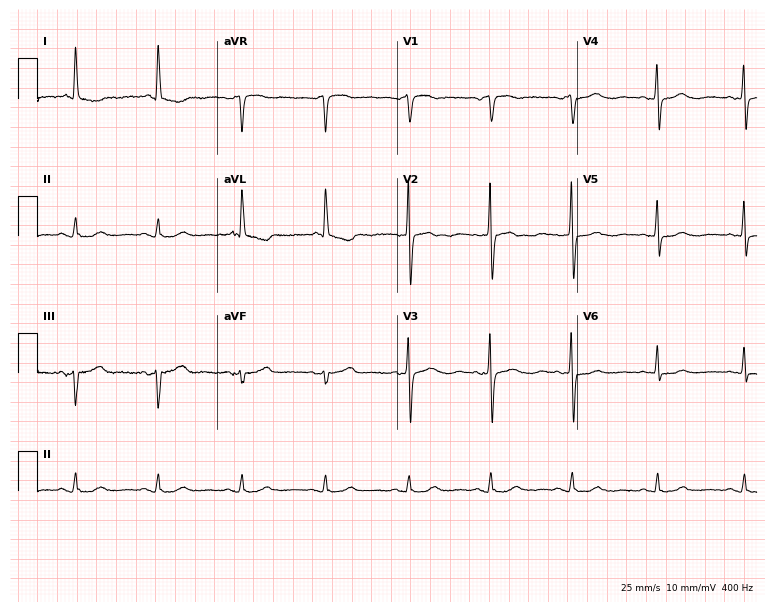
ECG — a 75-year-old female. Screened for six findings — first-degree AV block, right bundle branch block (RBBB), left bundle branch block (LBBB), sinus bradycardia, atrial fibrillation (AF), sinus tachycardia — none is recorded.